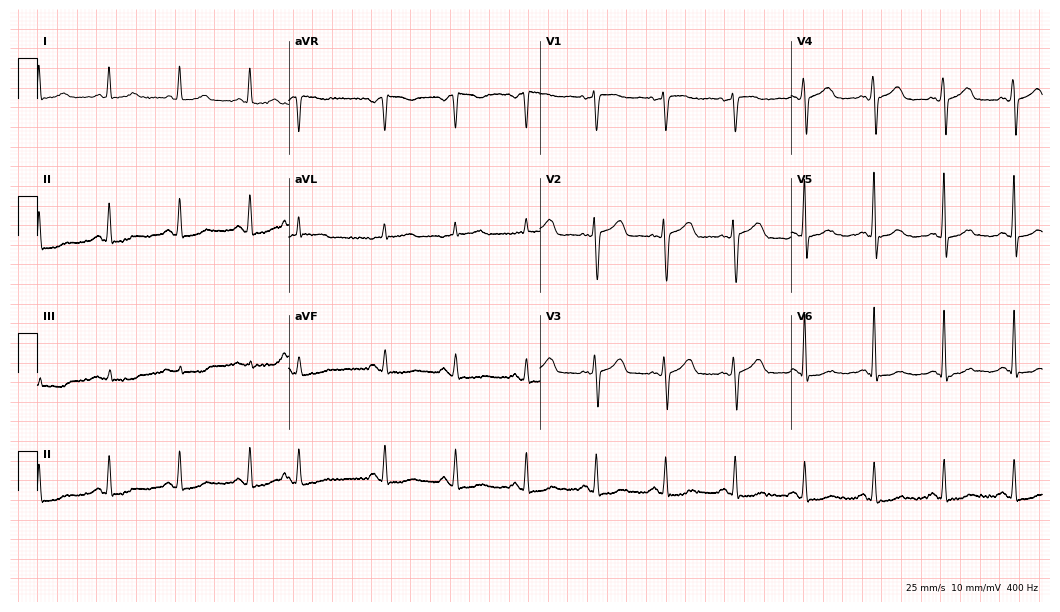
12-lead ECG (10.2-second recording at 400 Hz) from a 57-year-old female. Screened for six findings — first-degree AV block, right bundle branch block, left bundle branch block, sinus bradycardia, atrial fibrillation, sinus tachycardia — none is recorded. Findings outside these six are not listed.